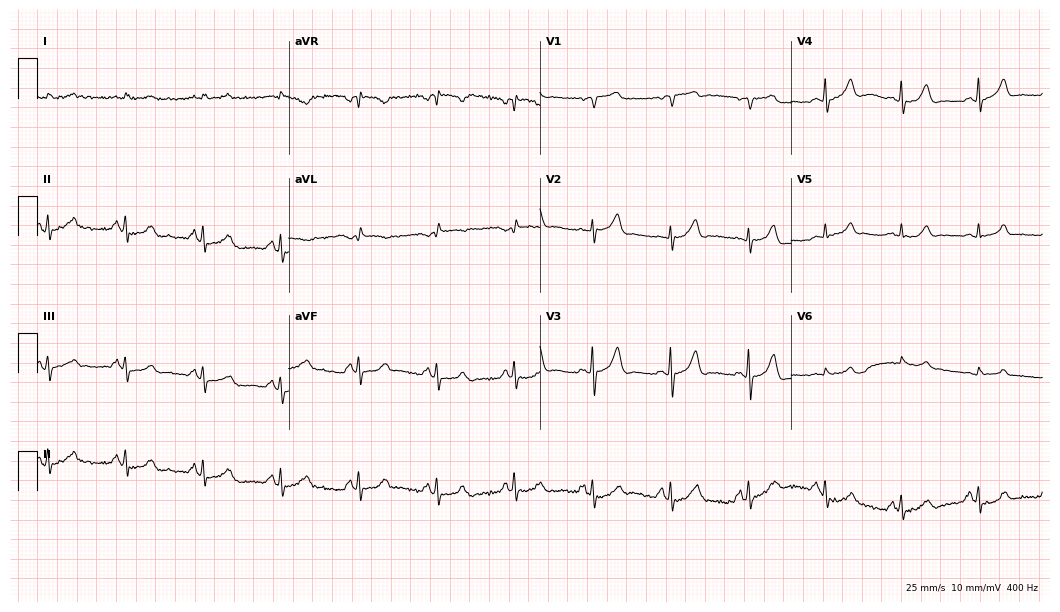
Resting 12-lead electrocardiogram (10.2-second recording at 400 Hz). Patient: a male, 75 years old. None of these six findings is recorded: first-degree AV block, right bundle branch block (RBBB), left bundle branch block (LBBB), sinus bradycardia, atrial fibrillation (AF), sinus tachycardia. Only these six findings were labelled.